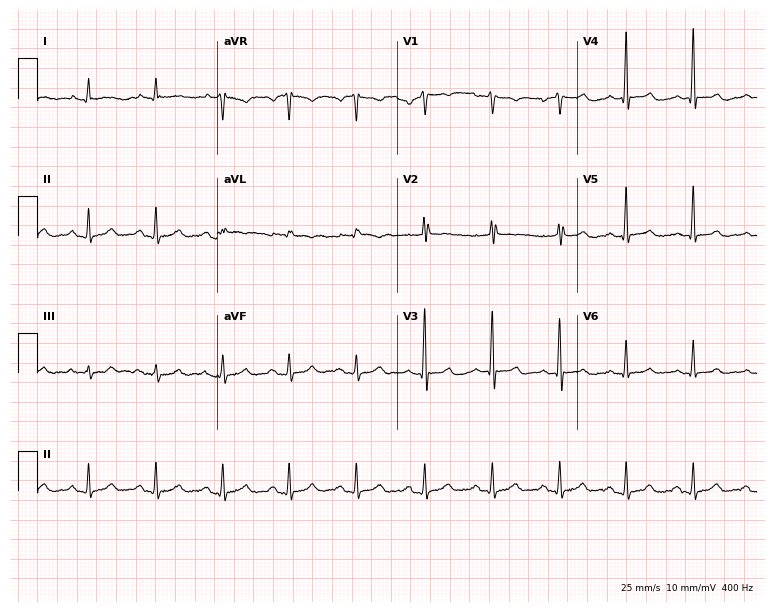
ECG (7.3-second recording at 400 Hz) — a 77-year-old man. Screened for six findings — first-degree AV block, right bundle branch block, left bundle branch block, sinus bradycardia, atrial fibrillation, sinus tachycardia — none is recorded.